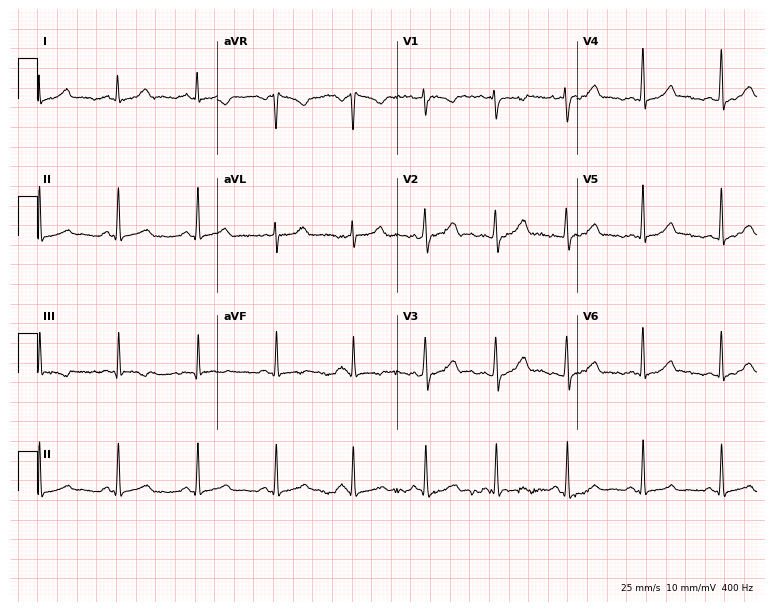
Electrocardiogram (7.3-second recording at 400 Hz), a 28-year-old woman. Overall reading on record: normal ECG.